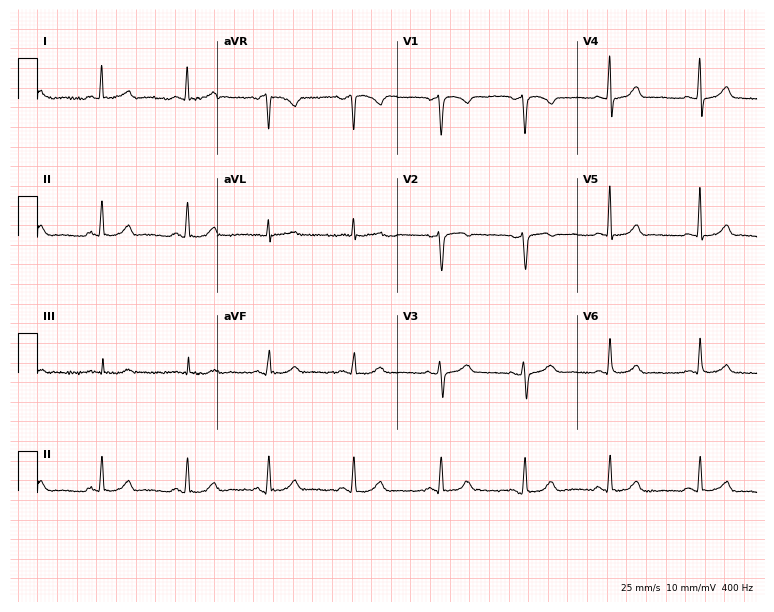
Standard 12-lead ECG recorded from a female, 48 years old (7.3-second recording at 400 Hz). Read as a normal ECG.